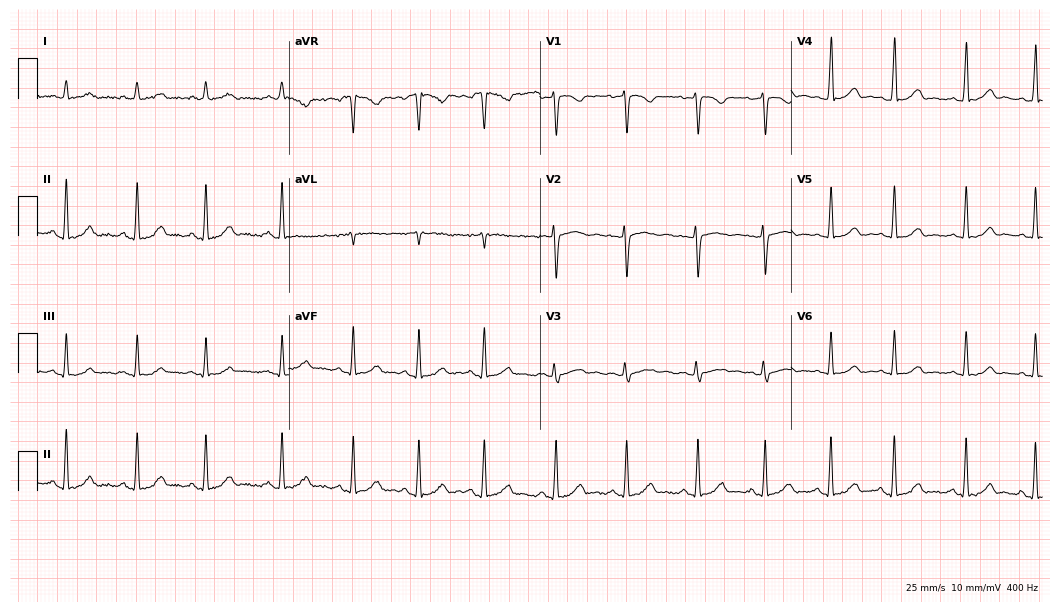
12-lead ECG (10.2-second recording at 400 Hz) from a woman, 39 years old. Labelled as a normal ECG.